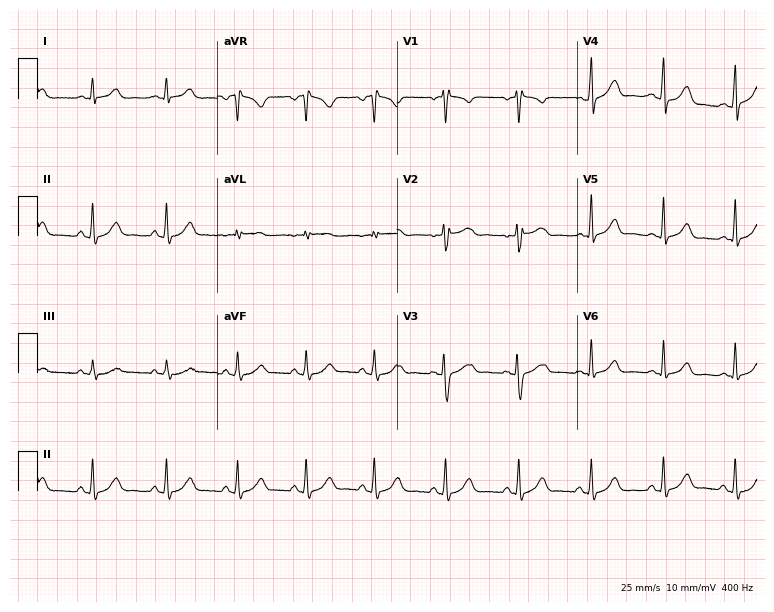
ECG — a woman, 33 years old. Labelled as a normal ECG.